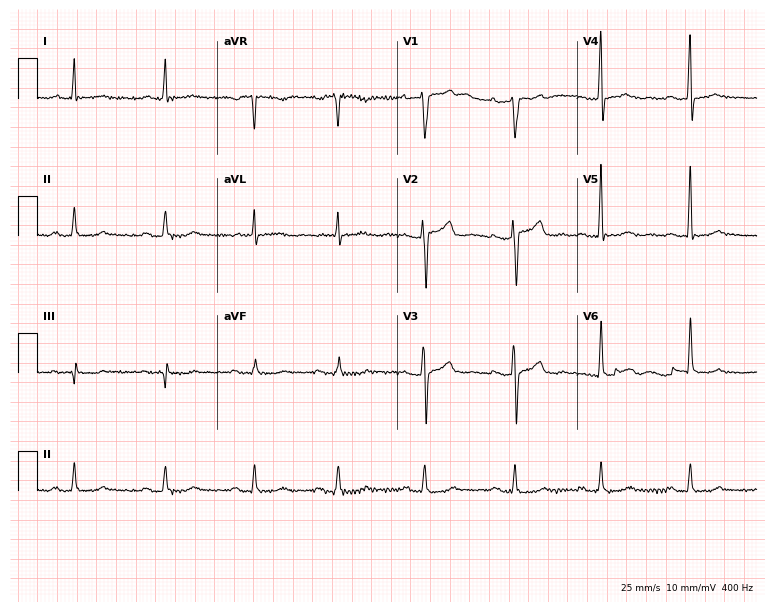
Resting 12-lead electrocardiogram. Patient: a 44-year-old male. Read as a normal ECG.